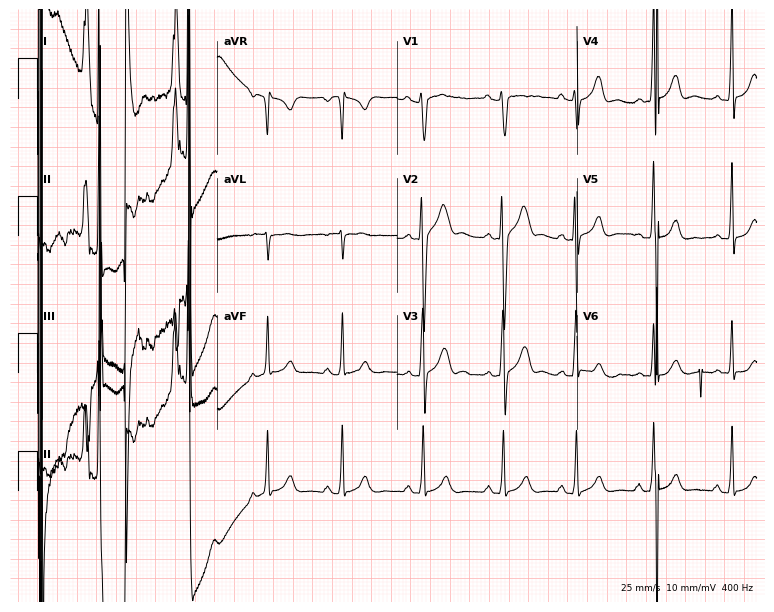
12-lead ECG from a male, 19 years old (7.3-second recording at 400 Hz). Recorded interpretation: within normal limits.